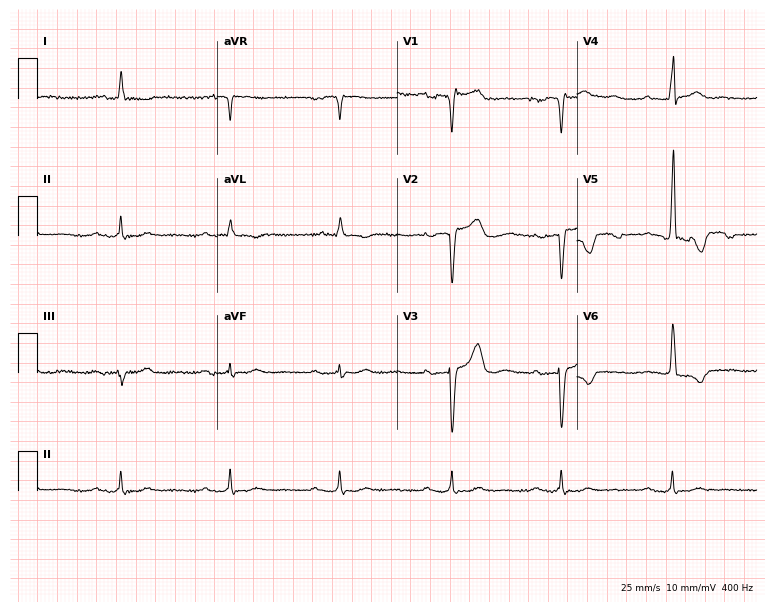
12-lead ECG from a man, 83 years old. No first-degree AV block, right bundle branch block, left bundle branch block, sinus bradycardia, atrial fibrillation or sinus tachycardia recorded for this tracing.